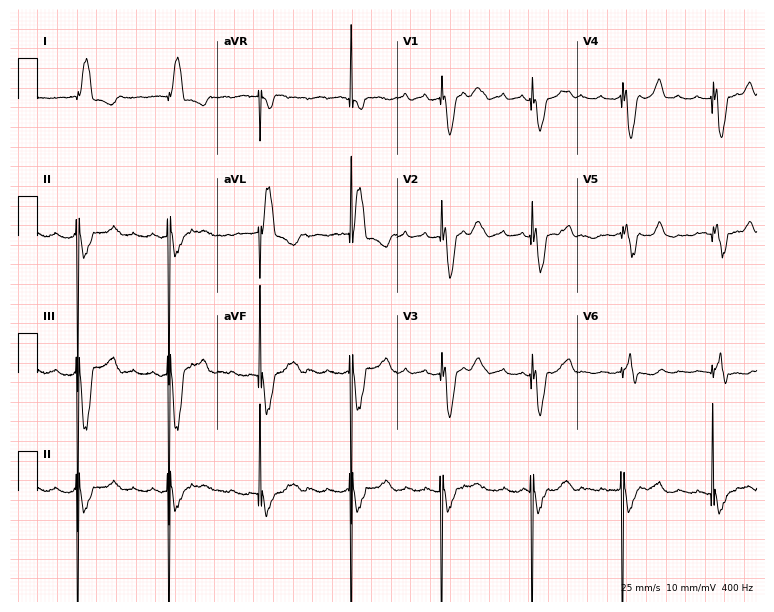
12-lead ECG (7.3-second recording at 400 Hz) from a 77-year-old woman. Screened for six findings — first-degree AV block, right bundle branch block, left bundle branch block, sinus bradycardia, atrial fibrillation, sinus tachycardia — none is recorded.